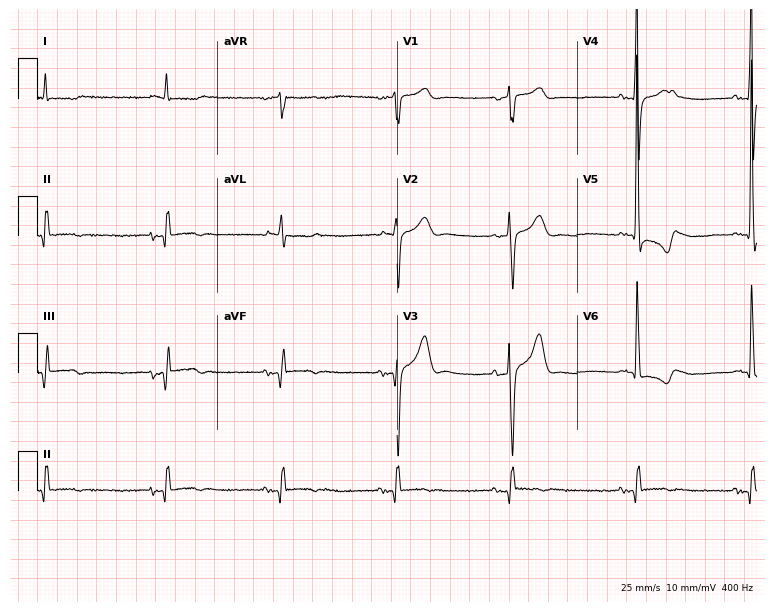
Electrocardiogram (7.3-second recording at 400 Hz), a male, 76 years old. Of the six screened findings (first-degree AV block, right bundle branch block, left bundle branch block, sinus bradycardia, atrial fibrillation, sinus tachycardia), none is recorded.